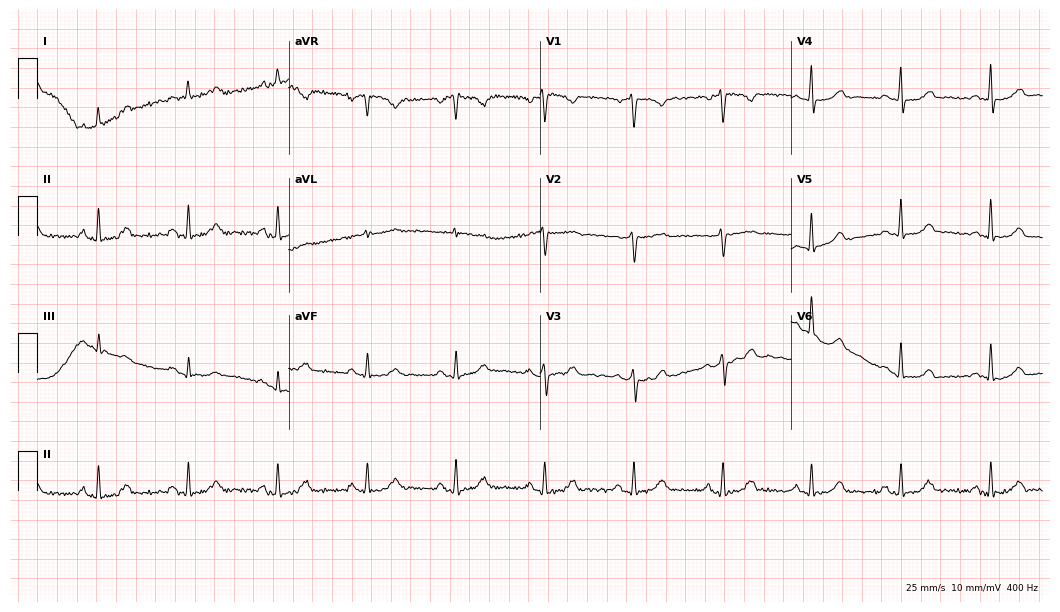
Resting 12-lead electrocardiogram. Patient: a woman, 55 years old. None of these six findings is recorded: first-degree AV block, right bundle branch block, left bundle branch block, sinus bradycardia, atrial fibrillation, sinus tachycardia. Findings outside these six are not listed.